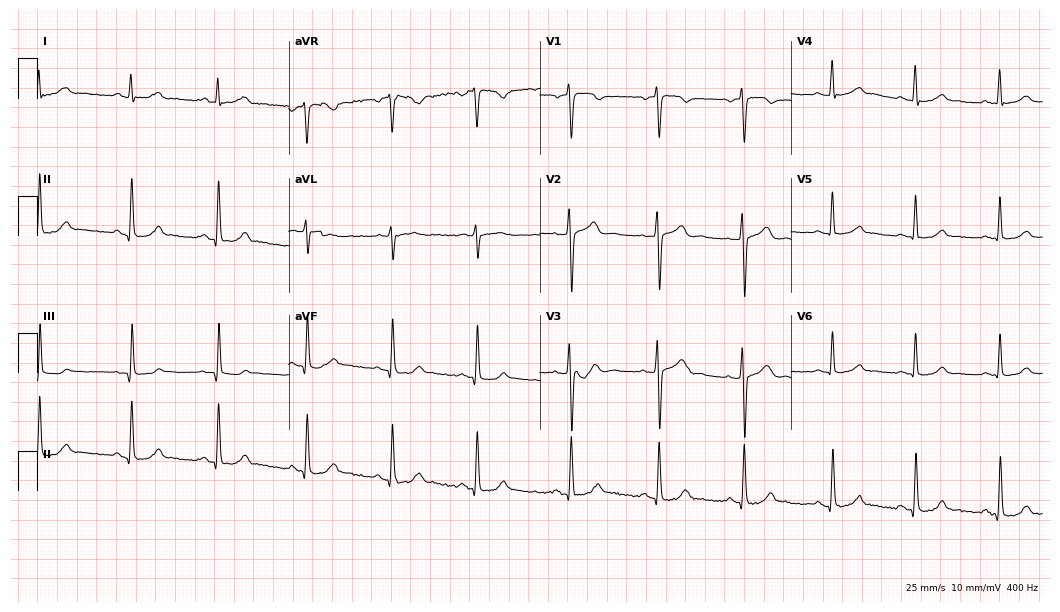
Standard 12-lead ECG recorded from a man, 38 years old. Read as a normal ECG.